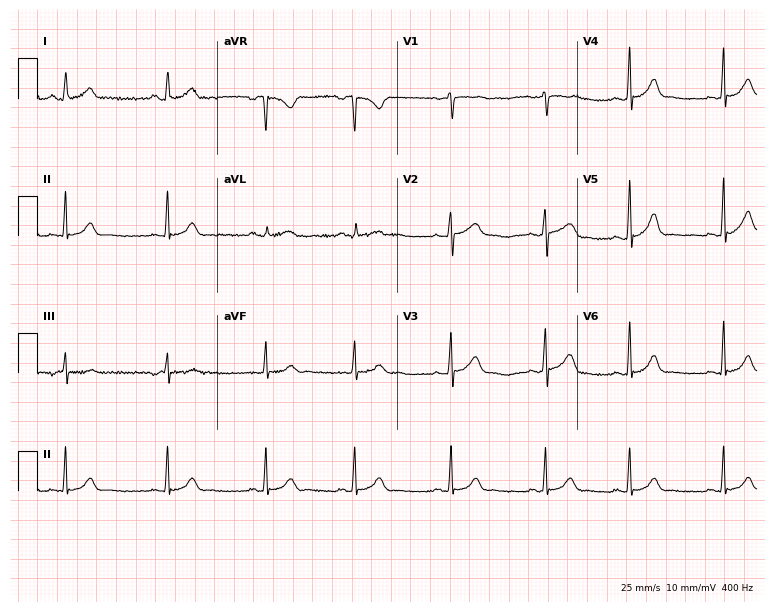
12-lead ECG (7.3-second recording at 400 Hz) from a 22-year-old female. Labelled as a normal ECG.